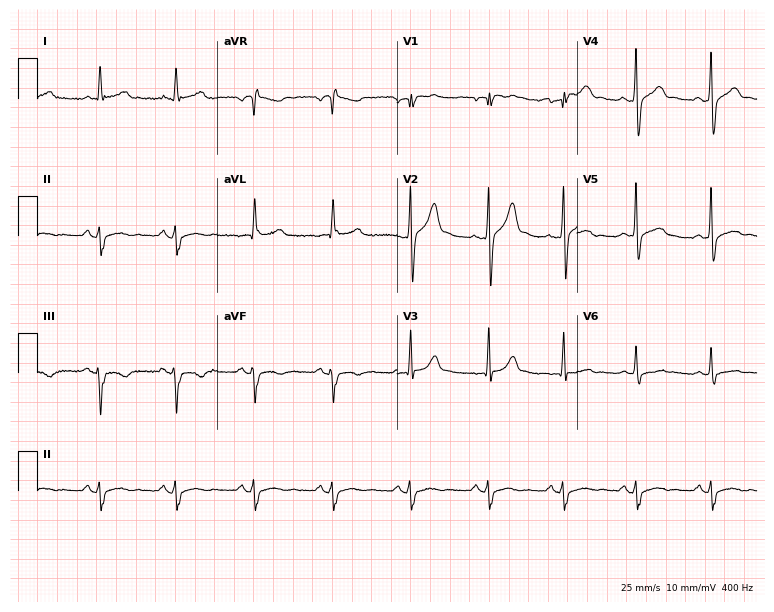
12-lead ECG from a male, 37 years old. Screened for six findings — first-degree AV block, right bundle branch block, left bundle branch block, sinus bradycardia, atrial fibrillation, sinus tachycardia — none is recorded.